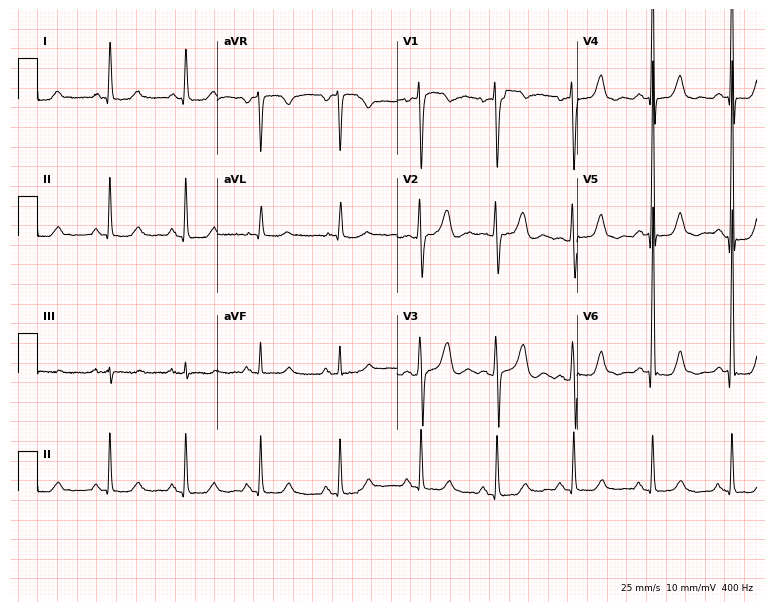
Electrocardiogram, a female, 47 years old. Of the six screened findings (first-degree AV block, right bundle branch block, left bundle branch block, sinus bradycardia, atrial fibrillation, sinus tachycardia), none is recorded. Only these six findings were labelled.